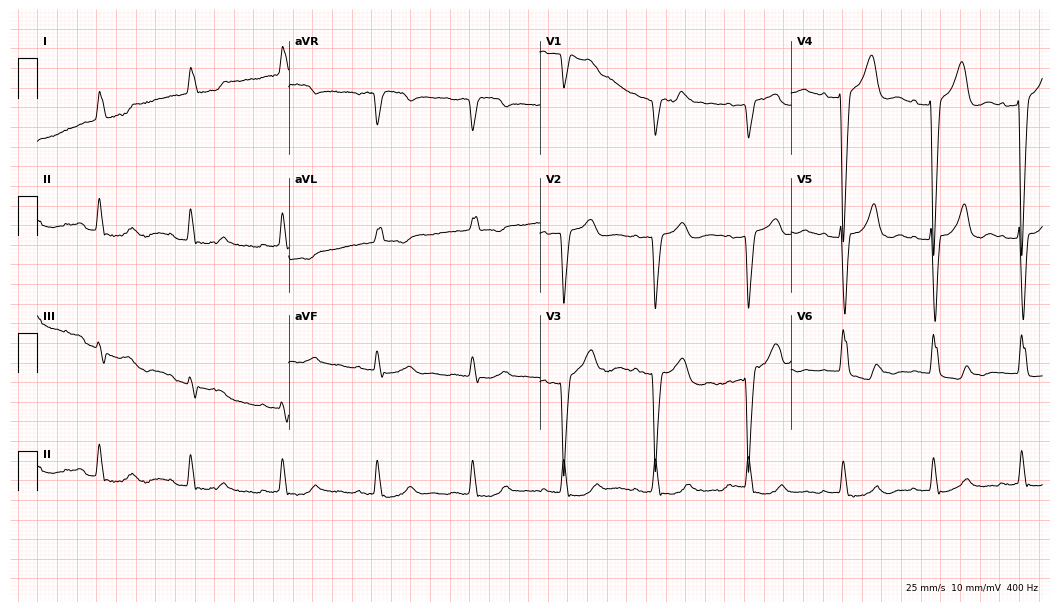
12-lead ECG (10.2-second recording at 400 Hz) from a female, 41 years old. Findings include left bundle branch block.